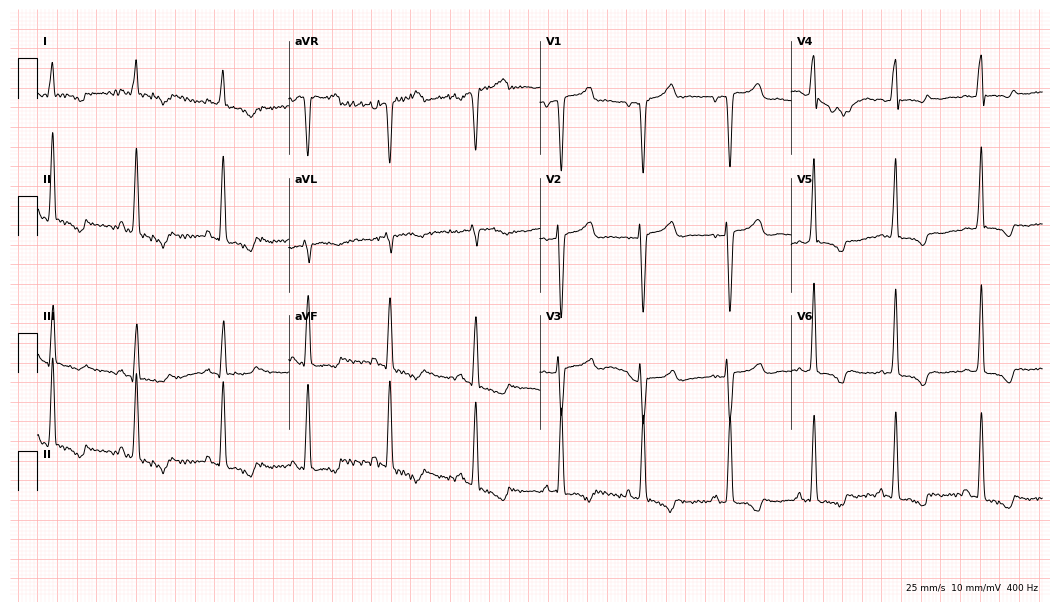
Resting 12-lead electrocardiogram. Patient: a female, 74 years old. None of these six findings is recorded: first-degree AV block, right bundle branch block, left bundle branch block, sinus bradycardia, atrial fibrillation, sinus tachycardia.